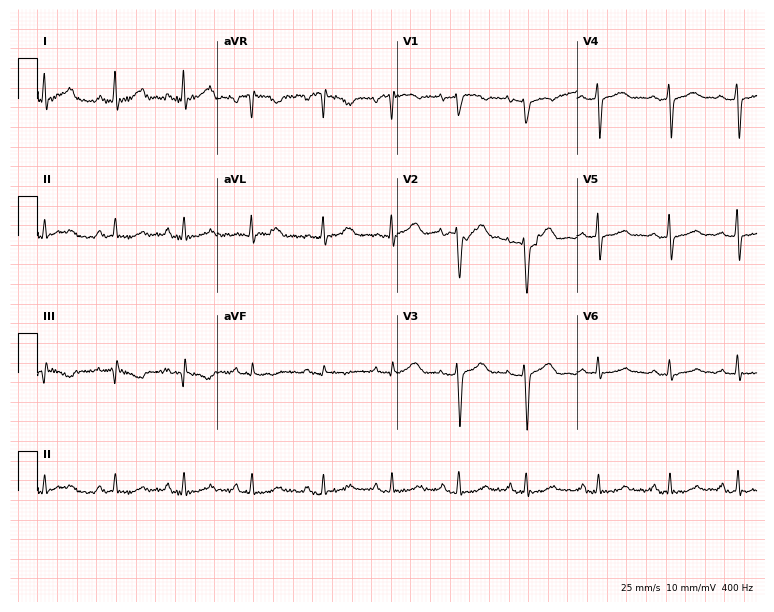
Electrocardiogram (7.3-second recording at 400 Hz), a woman, 55 years old. Overall reading on record: normal ECG.